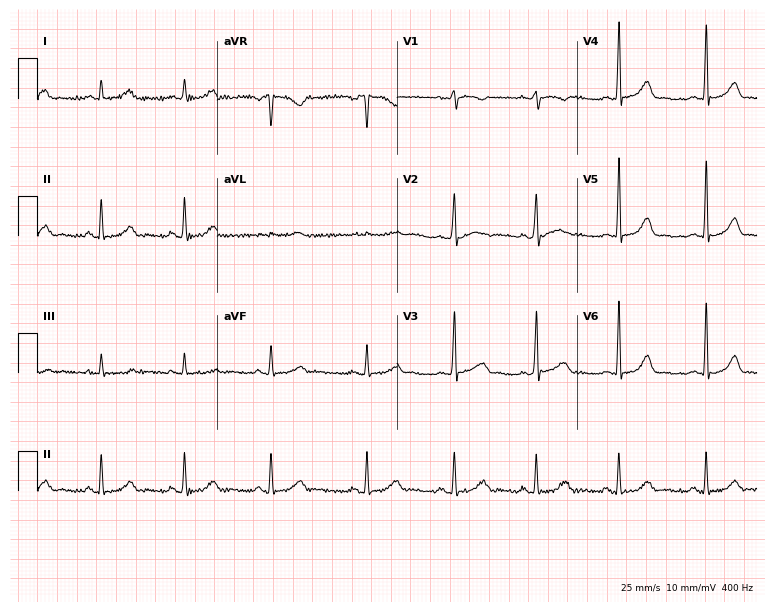
12-lead ECG from a 41-year-old female patient. Recorded interpretation: within normal limits.